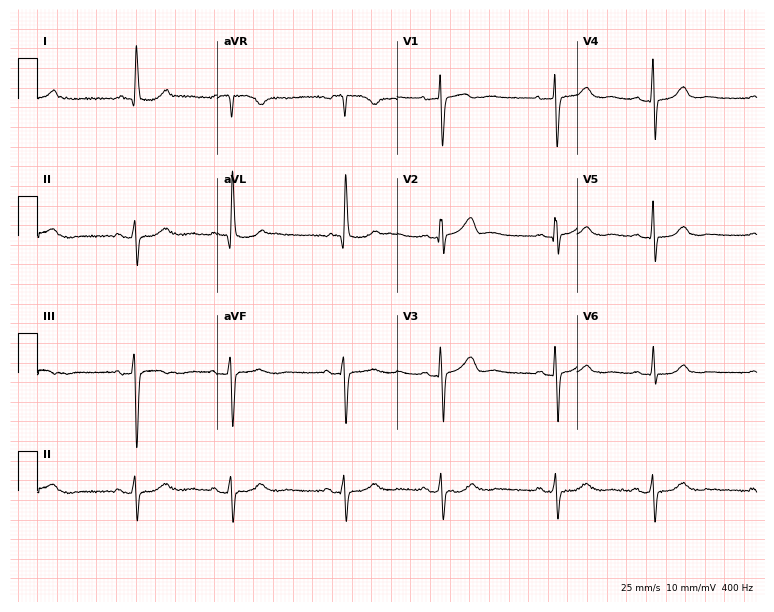
Resting 12-lead electrocardiogram (7.3-second recording at 400 Hz). Patient: a female, 81 years old. None of these six findings is recorded: first-degree AV block, right bundle branch block, left bundle branch block, sinus bradycardia, atrial fibrillation, sinus tachycardia.